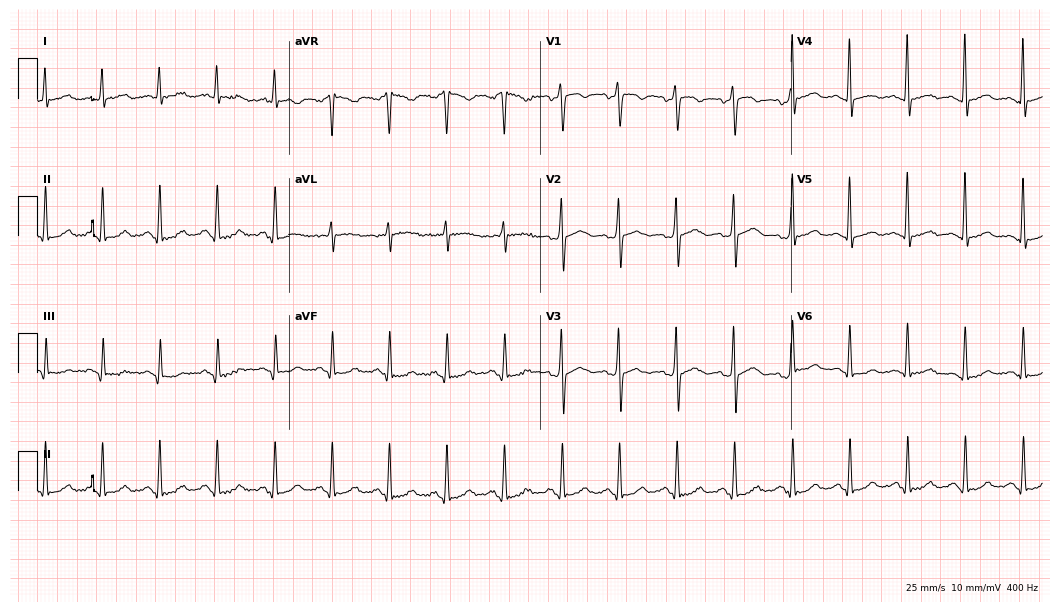
Resting 12-lead electrocardiogram. Patient: a female, 63 years old. The tracing shows sinus tachycardia (a sinus rate of 100 beats per minute or more).